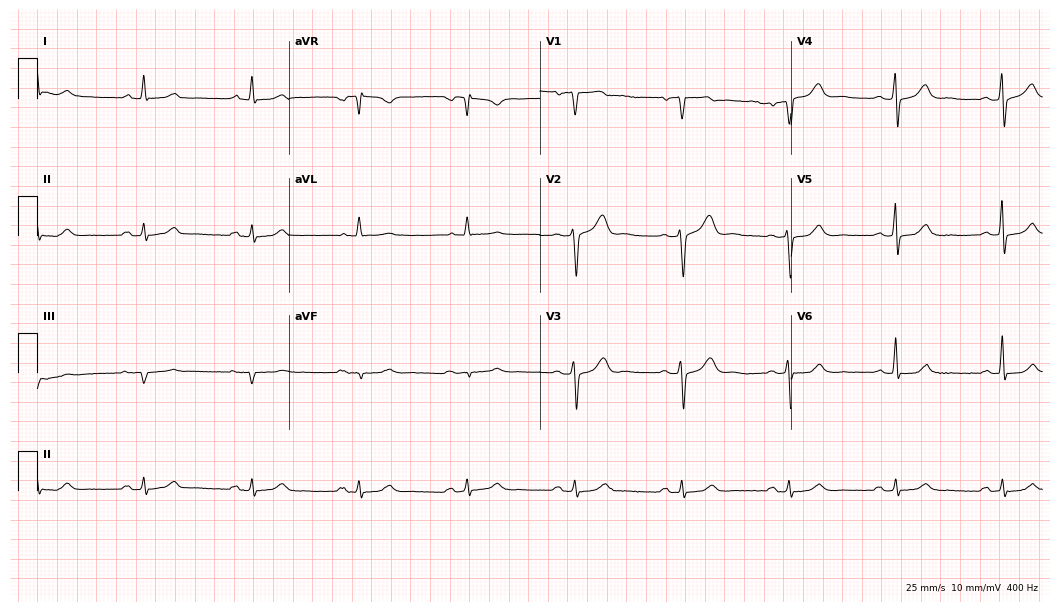
12-lead ECG (10.2-second recording at 400 Hz) from a man, 74 years old. Screened for six findings — first-degree AV block, right bundle branch block, left bundle branch block, sinus bradycardia, atrial fibrillation, sinus tachycardia — none is recorded.